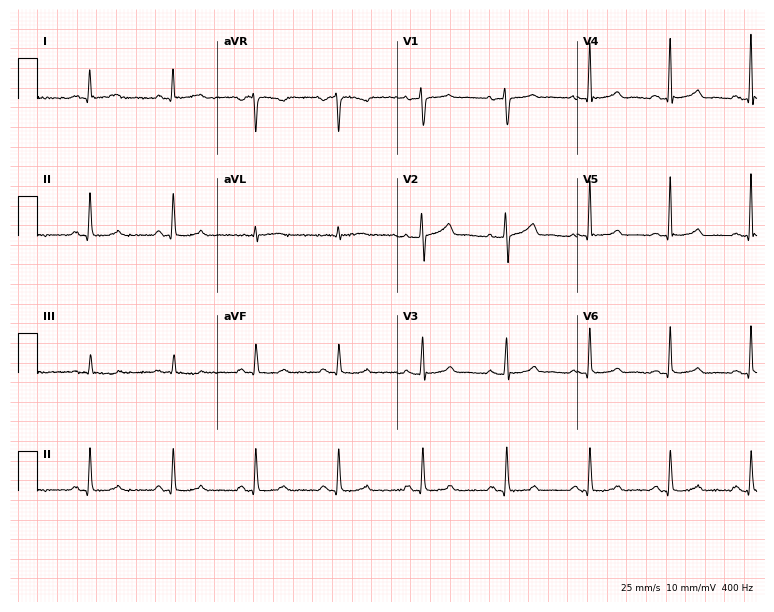
ECG (7.3-second recording at 400 Hz) — a woman, 60 years old. Labelled as a normal ECG.